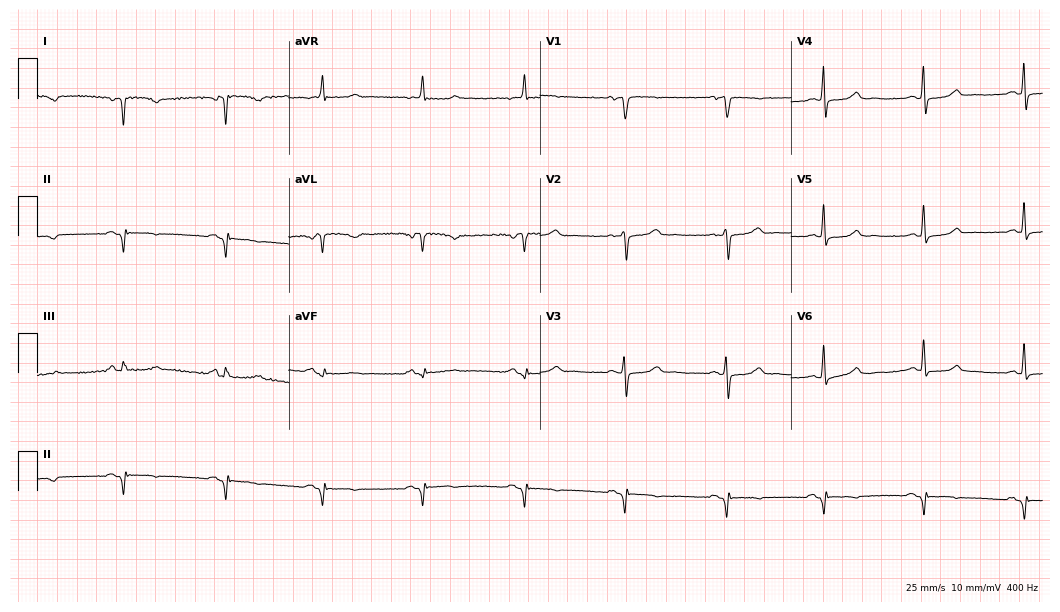
ECG (10.2-second recording at 400 Hz) — a woman, 57 years old. Screened for six findings — first-degree AV block, right bundle branch block (RBBB), left bundle branch block (LBBB), sinus bradycardia, atrial fibrillation (AF), sinus tachycardia — none is recorded. Other findings, if any, are not listed.